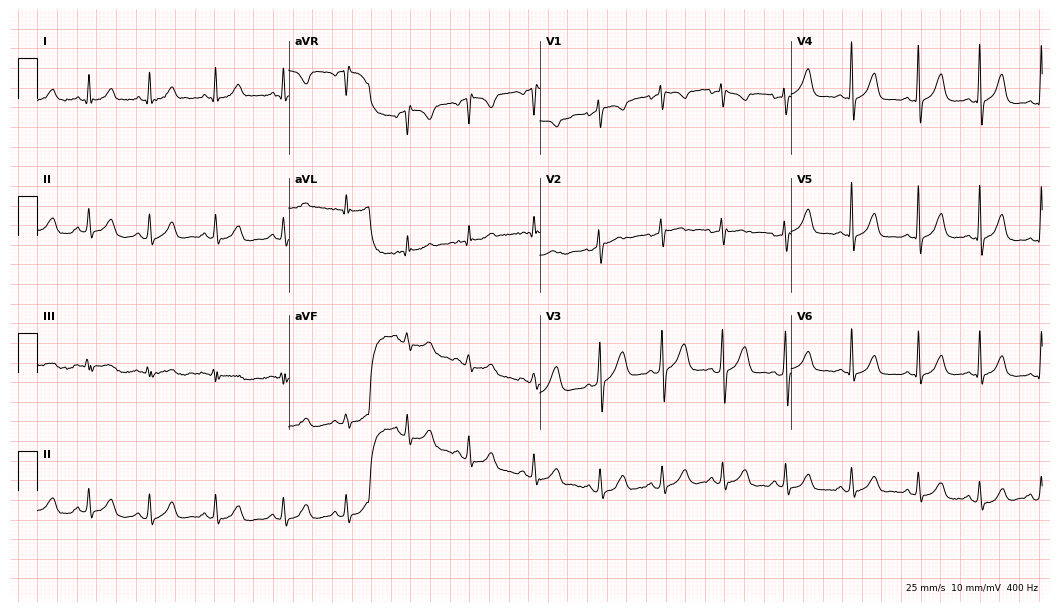
Resting 12-lead electrocardiogram (10.2-second recording at 400 Hz). Patient: an 18-year-old female. Read as a normal ECG.